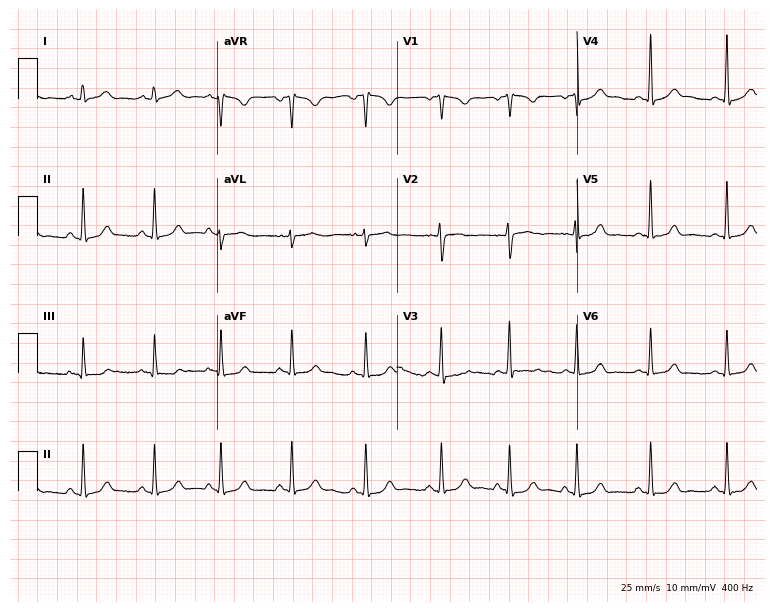
Standard 12-lead ECG recorded from a female, 27 years old (7.3-second recording at 400 Hz). Read as a normal ECG.